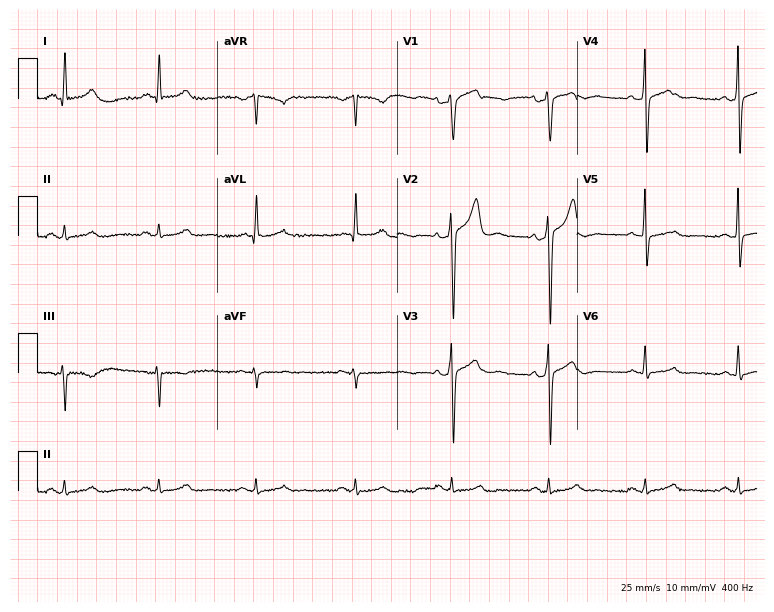
12-lead ECG from a 56-year-old male. Screened for six findings — first-degree AV block, right bundle branch block (RBBB), left bundle branch block (LBBB), sinus bradycardia, atrial fibrillation (AF), sinus tachycardia — none is recorded. Findings outside these six are not listed.